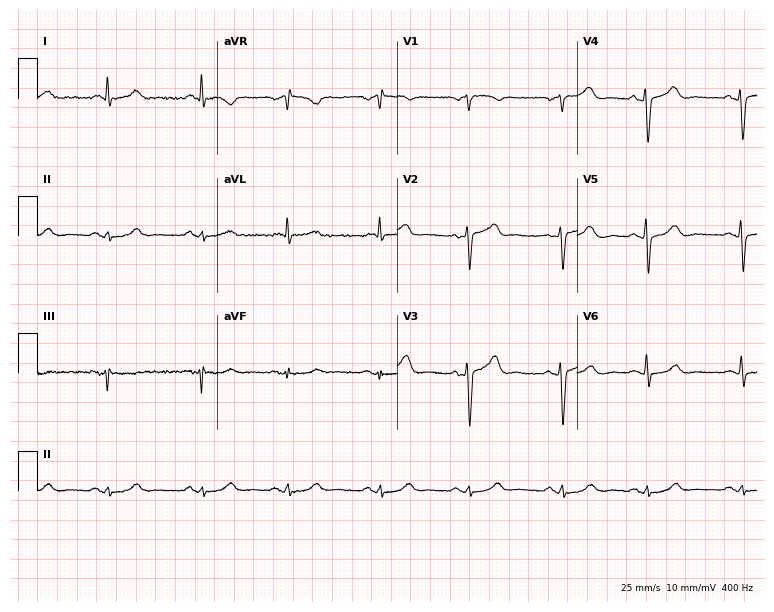
12-lead ECG from a male, 75 years old. Recorded interpretation: within normal limits.